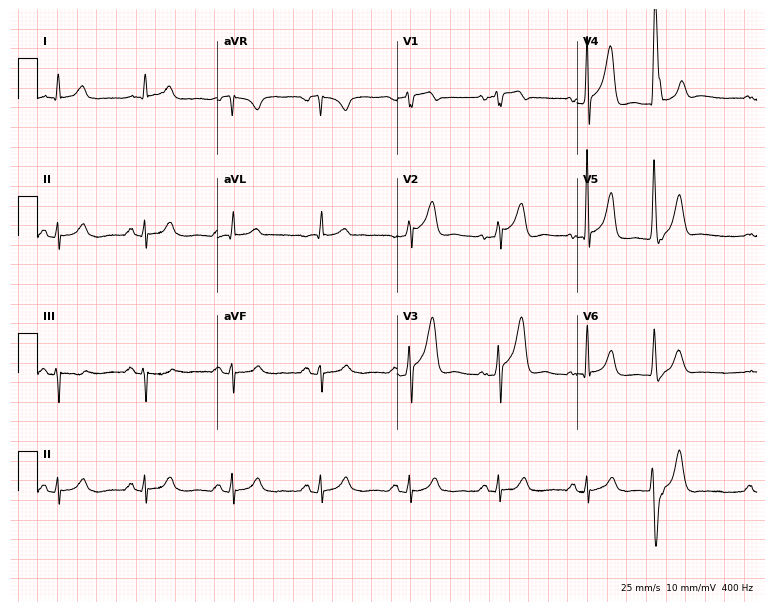
ECG — a man, 59 years old. Labelled as a normal ECG.